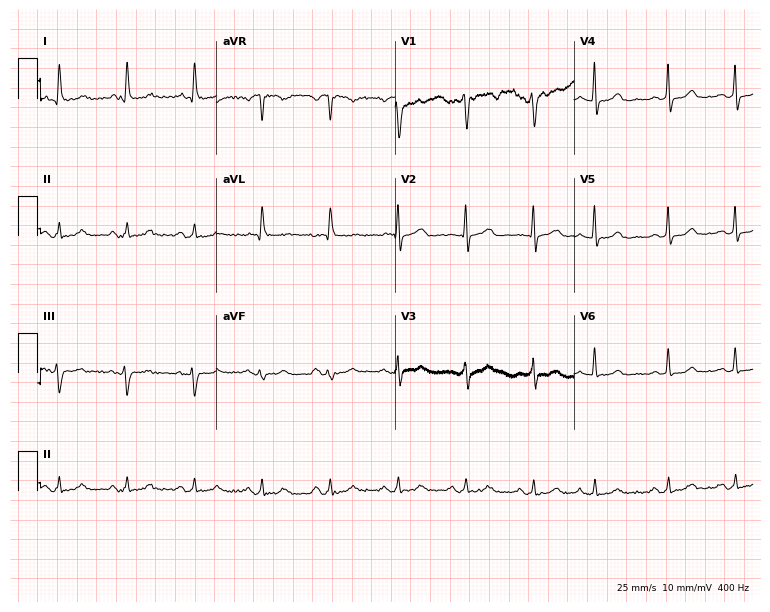
Resting 12-lead electrocardiogram (7.3-second recording at 400 Hz). Patient: a 69-year-old female. The tracing shows atrial fibrillation (AF).